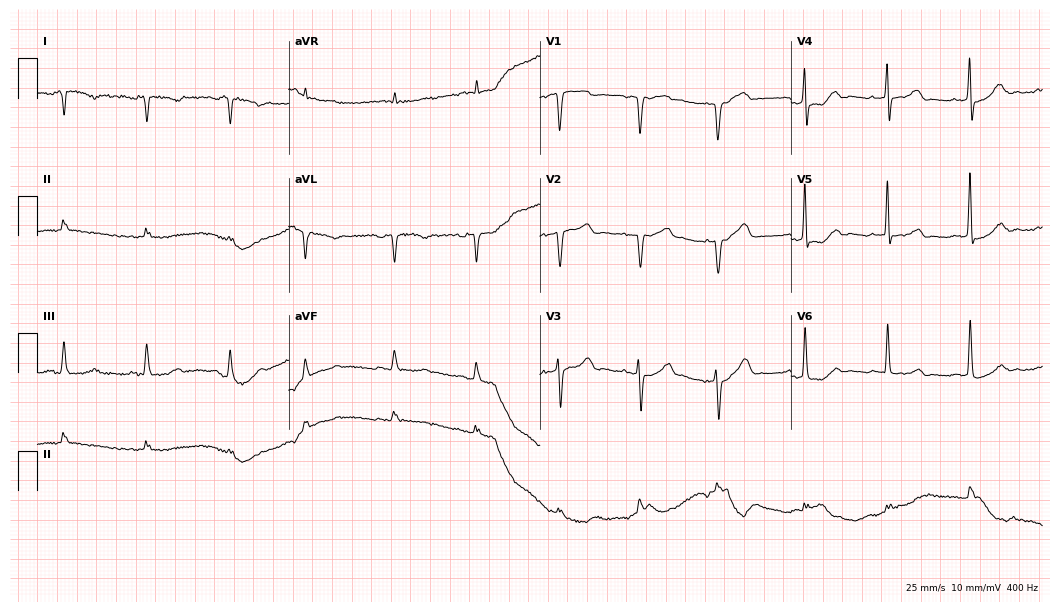
12-lead ECG (10.2-second recording at 400 Hz) from a female, 77 years old. Screened for six findings — first-degree AV block, right bundle branch block (RBBB), left bundle branch block (LBBB), sinus bradycardia, atrial fibrillation (AF), sinus tachycardia — none is recorded. Findings outside these six are not listed.